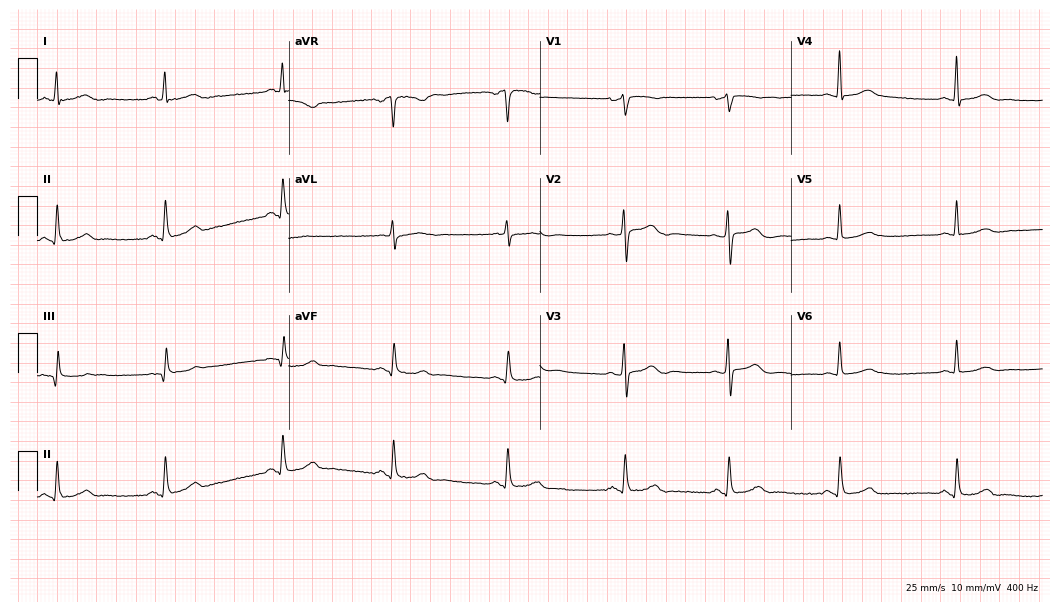
Resting 12-lead electrocardiogram (10.2-second recording at 400 Hz). Patient: a 42-year-old female. None of these six findings is recorded: first-degree AV block, right bundle branch block (RBBB), left bundle branch block (LBBB), sinus bradycardia, atrial fibrillation (AF), sinus tachycardia.